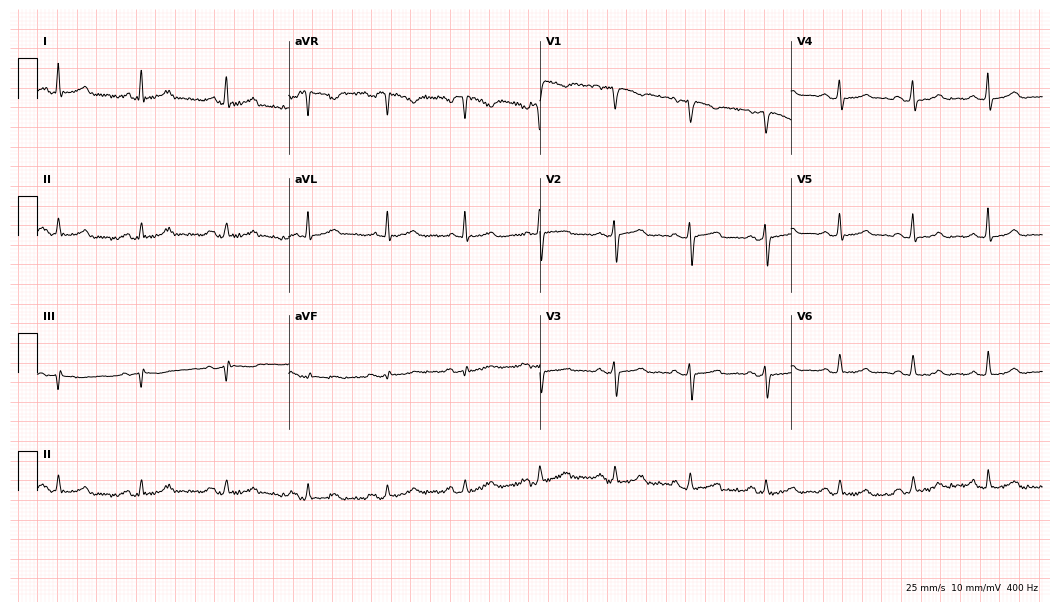
12-lead ECG from a female, 53 years old. Screened for six findings — first-degree AV block, right bundle branch block, left bundle branch block, sinus bradycardia, atrial fibrillation, sinus tachycardia — none is recorded. Findings outside these six are not listed.